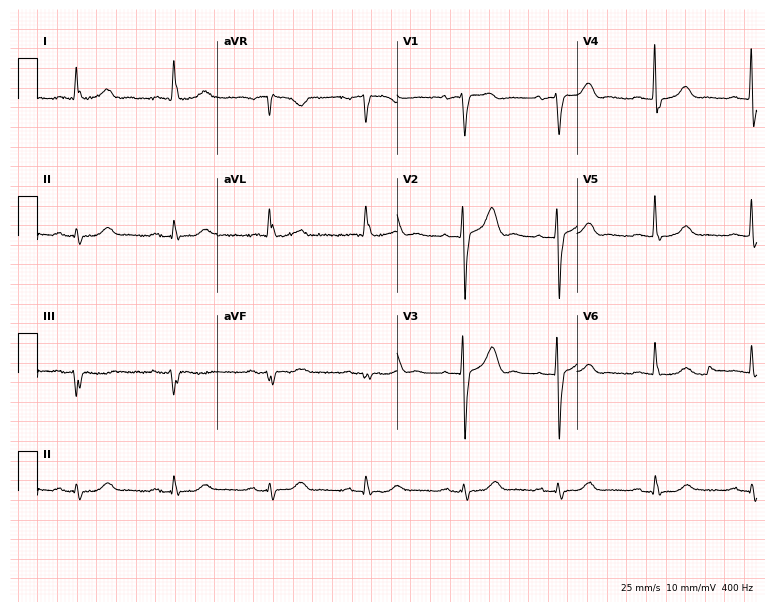
Standard 12-lead ECG recorded from a female, 84 years old. Read as a normal ECG.